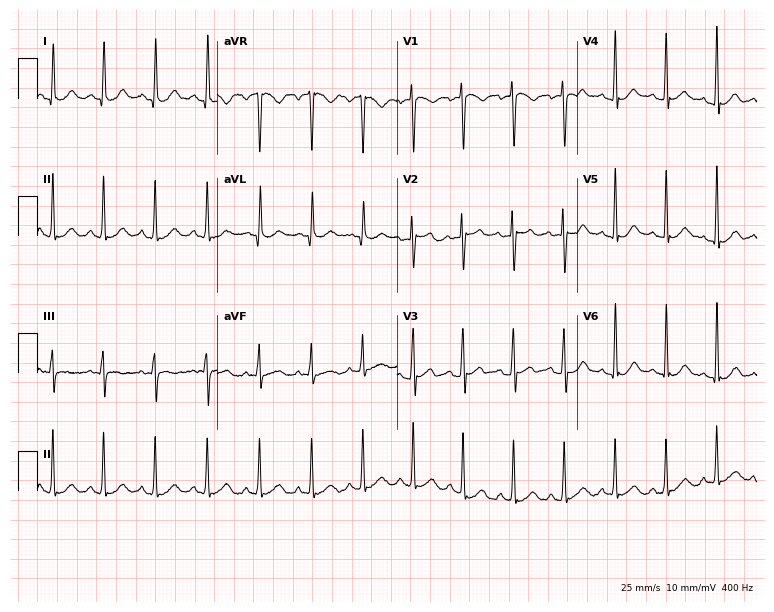
ECG (7.3-second recording at 400 Hz) — a woman, 32 years old. Findings include sinus tachycardia (a sinus rate of 100 beats per minute or more).